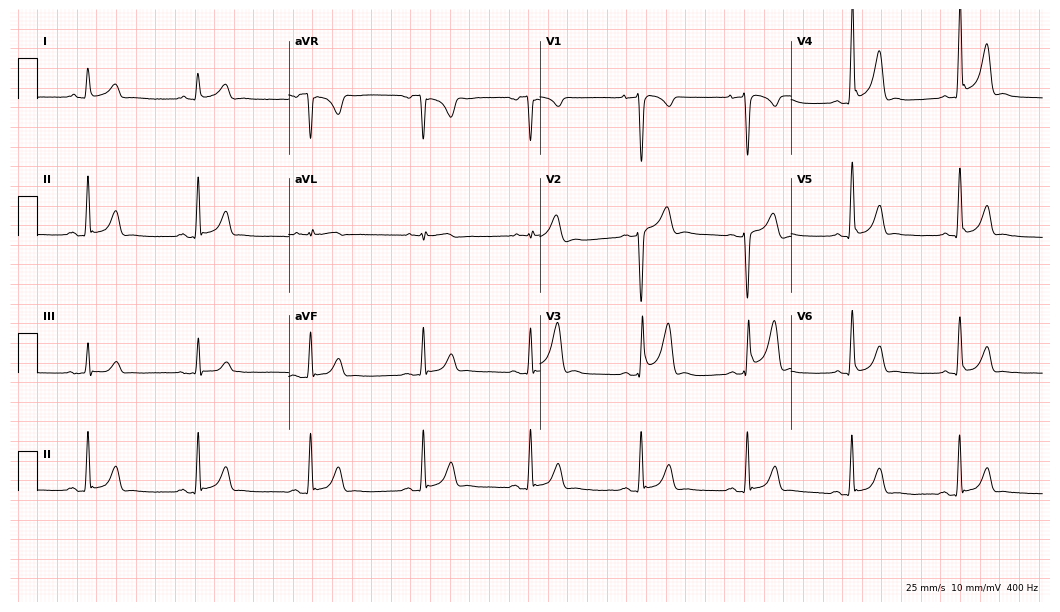
ECG — a male, 28 years old. Screened for six findings — first-degree AV block, right bundle branch block, left bundle branch block, sinus bradycardia, atrial fibrillation, sinus tachycardia — none is recorded. Other findings, if any, are not listed.